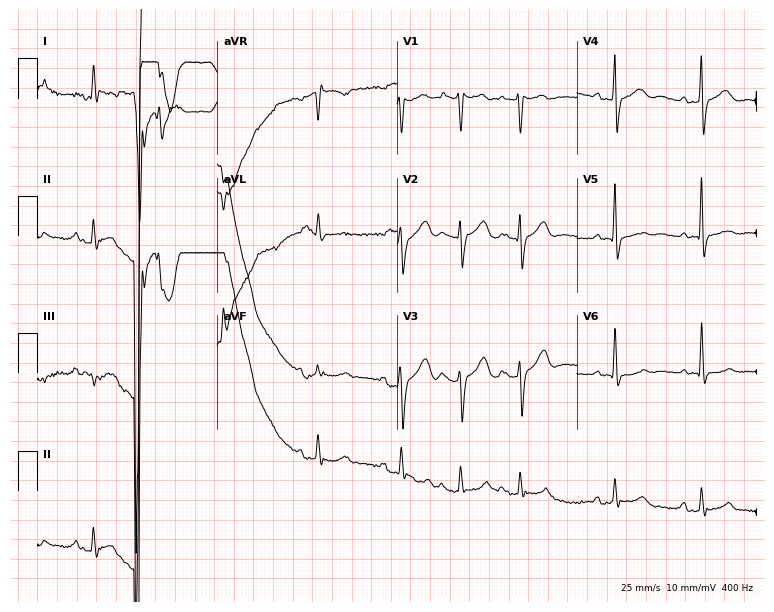
12-lead ECG from a man, 70 years old. Screened for six findings — first-degree AV block, right bundle branch block, left bundle branch block, sinus bradycardia, atrial fibrillation, sinus tachycardia — none is recorded. Only these six findings were labelled.